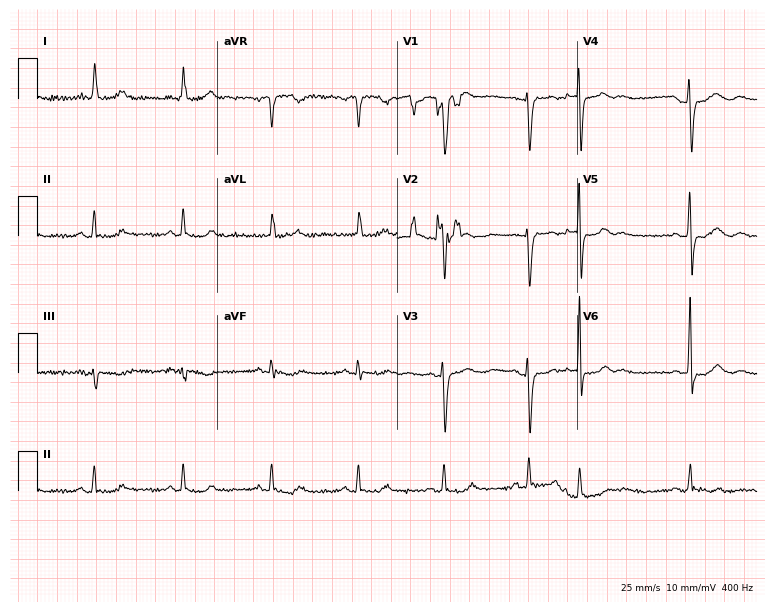
Electrocardiogram, a 73-year-old woman. Of the six screened findings (first-degree AV block, right bundle branch block (RBBB), left bundle branch block (LBBB), sinus bradycardia, atrial fibrillation (AF), sinus tachycardia), none is recorded.